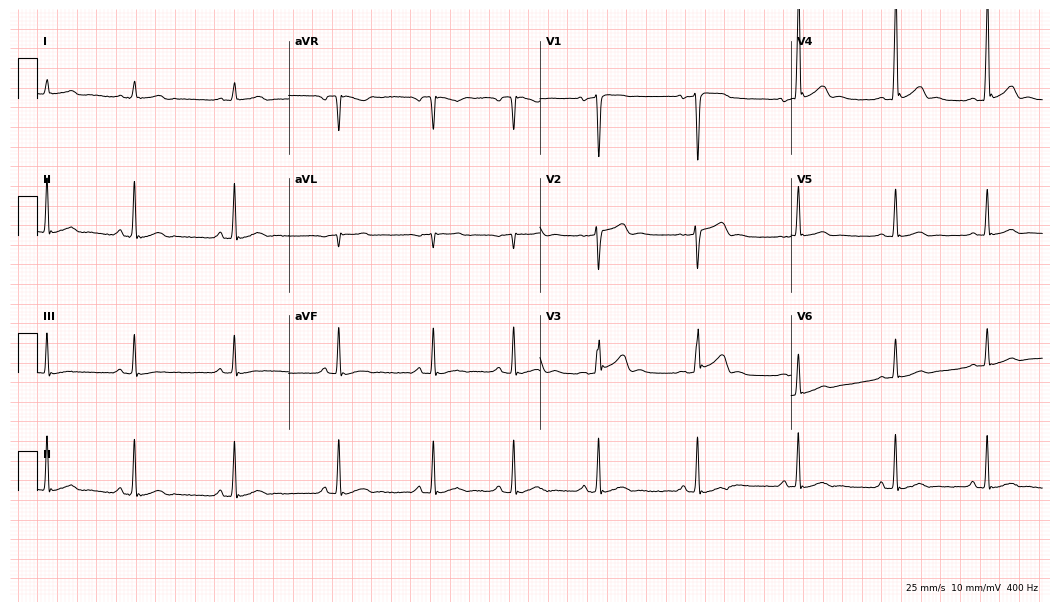
Resting 12-lead electrocardiogram (10.2-second recording at 400 Hz). Patient: a 23-year-old male. Read as a normal ECG.